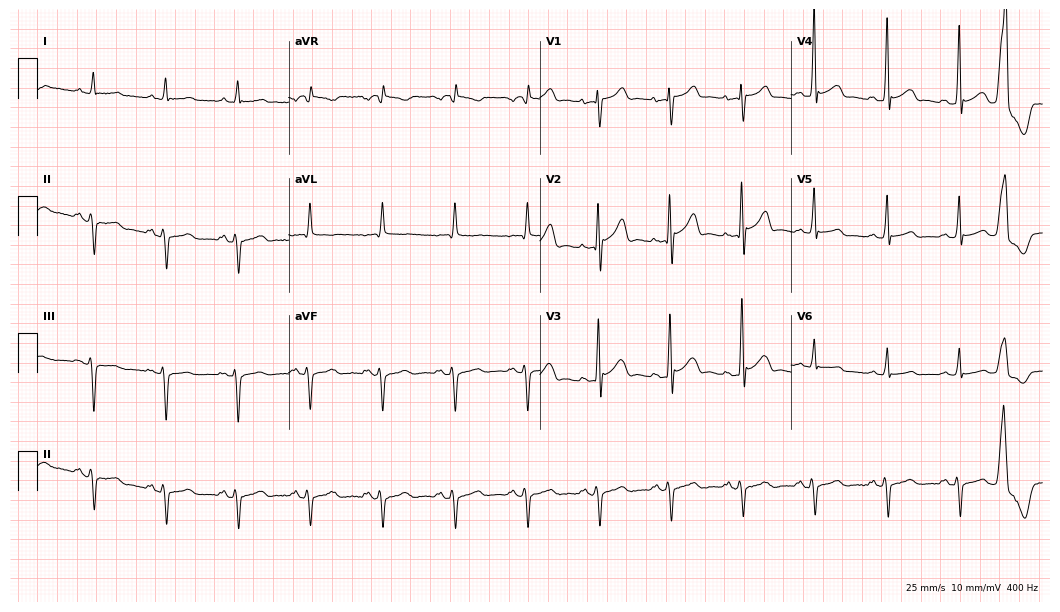
ECG (10.2-second recording at 400 Hz) — a 69-year-old female. Screened for six findings — first-degree AV block, right bundle branch block, left bundle branch block, sinus bradycardia, atrial fibrillation, sinus tachycardia — none is recorded. Only these six findings were labelled.